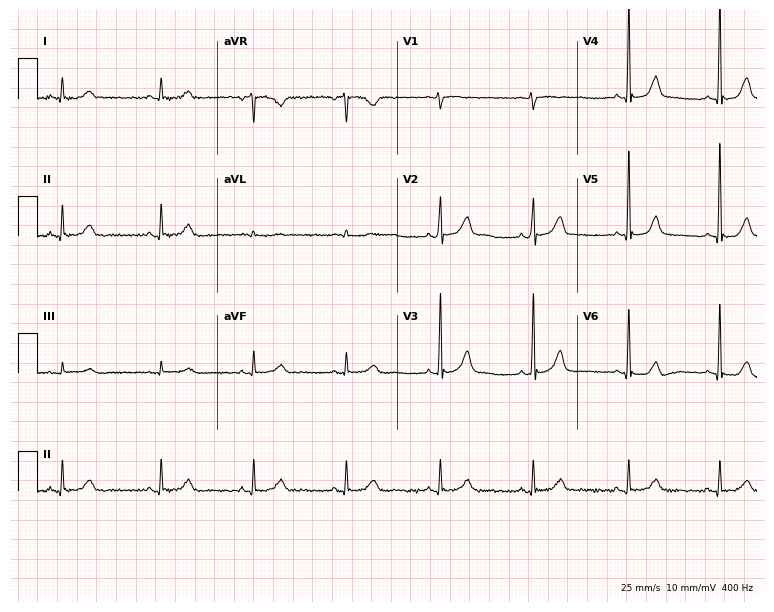
ECG (7.3-second recording at 400 Hz) — a woman, 55 years old. Labelled as a normal ECG.